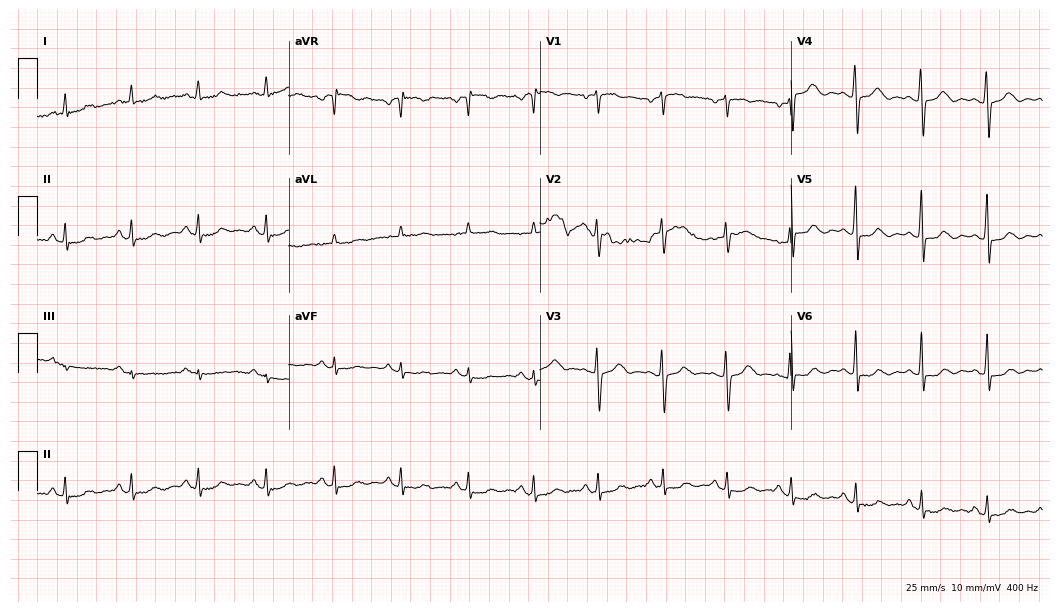
12-lead ECG from a woman, 57 years old (10.2-second recording at 400 Hz). No first-degree AV block, right bundle branch block, left bundle branch block, sinus bradycardia, atrial fibrillation or sinus tachycardia recorded for this tracing.